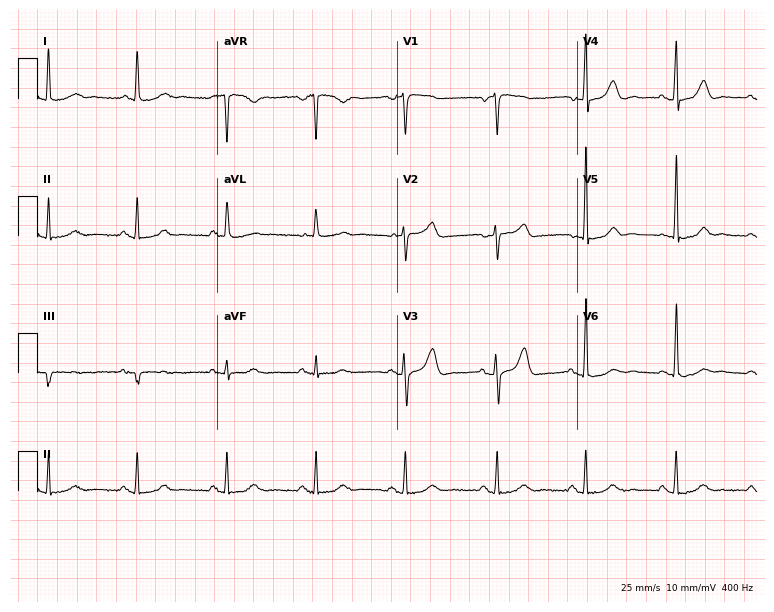
12-lead ECG from a 64-year-old female patient. Recorded interpretation: within normal limits.